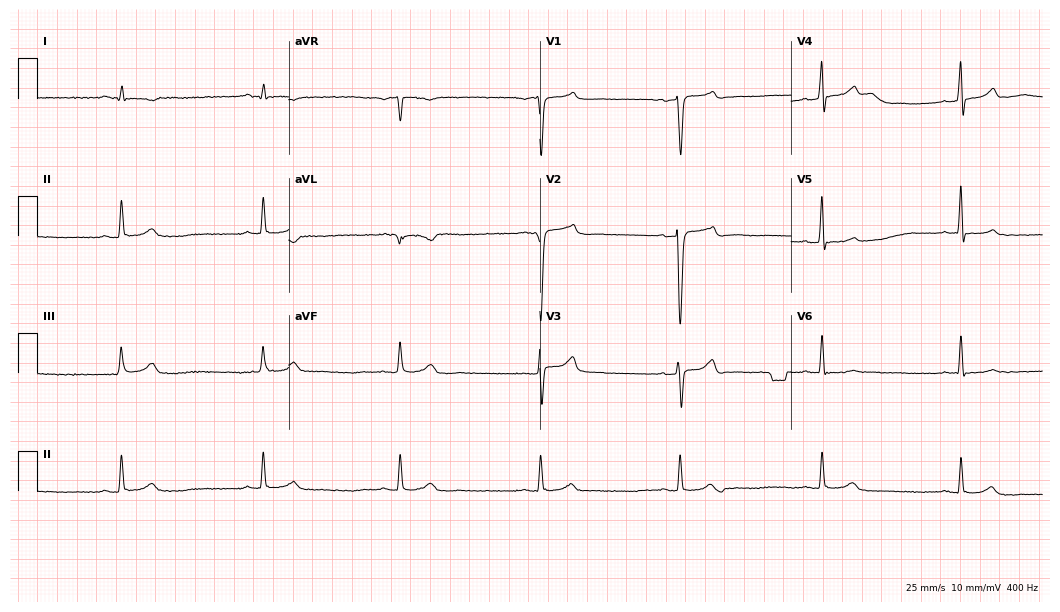
ECG (10.2-second recording at 400 Hz) — a male patient, 60 years old. Findings include sinus bradycardia (a sinus rate of 50 beats per minute or less).